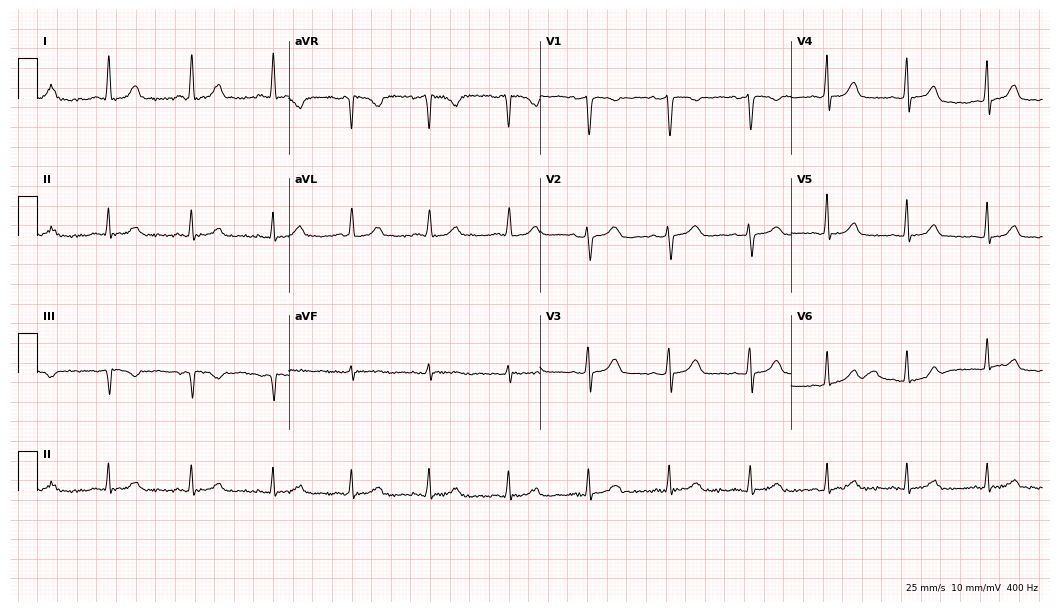
Electrocardiogram (10.2-second recording at 400 Hz), a female, 40 years old. Of the six screened findings (first-degree AV block, right bundle branch block (RBBB), left bundle branch block (LBBB), sinus bradycardia, atrial fibrillation (AF), sinus tachycardia), none is recorded.